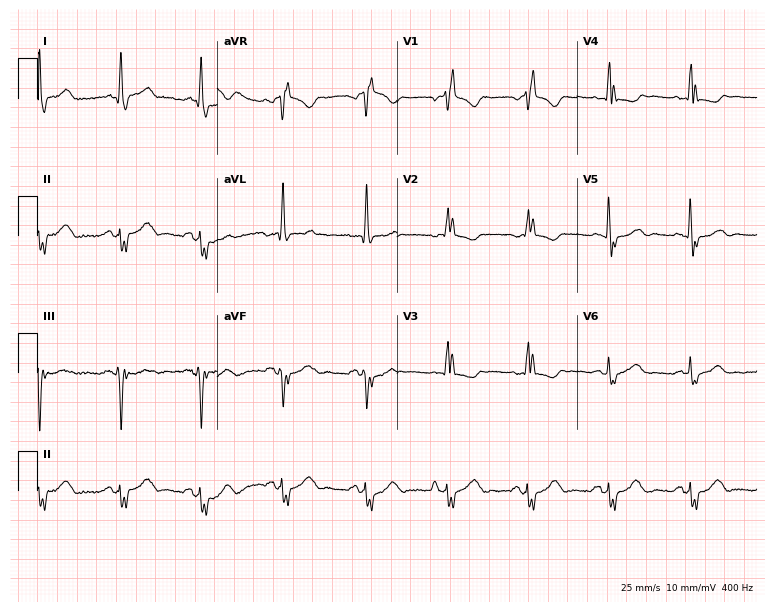
Resting 12-lead electrocardiogram. Patient: a female, 81 years old. The tracing shows right bundle branch block.